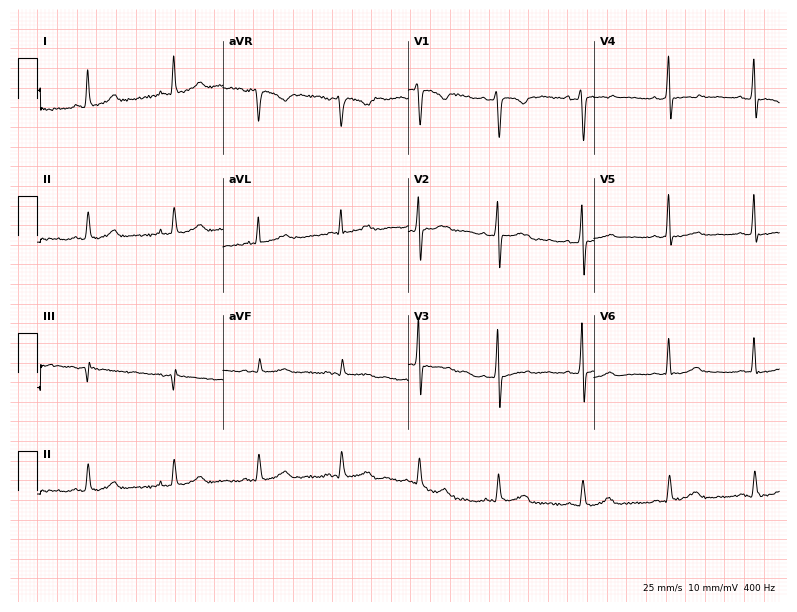
ECG (7.6-second recording at 400 Hz) — a 29-year-old female. Screened for six findings — first-degree AV block, right bundle branch block, left bundle branch block, sinus bradycardia, atrial fibrillation, sinus tachycardia — none is recorded. Findings outside these six are not listed.